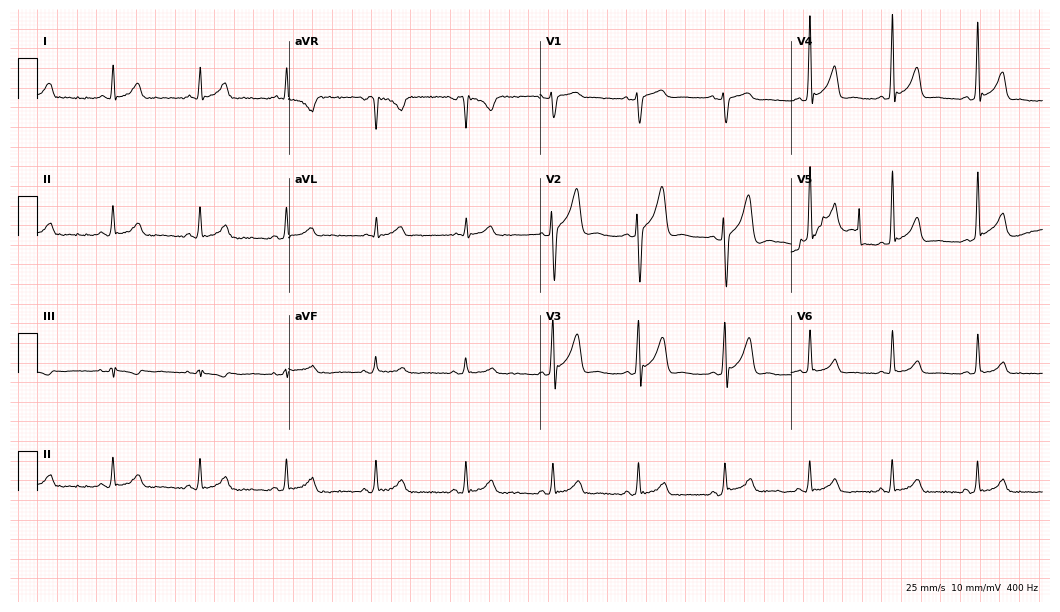
Electrocardiogram, a 41-year-old man. Overall reading on record: normal ECG.